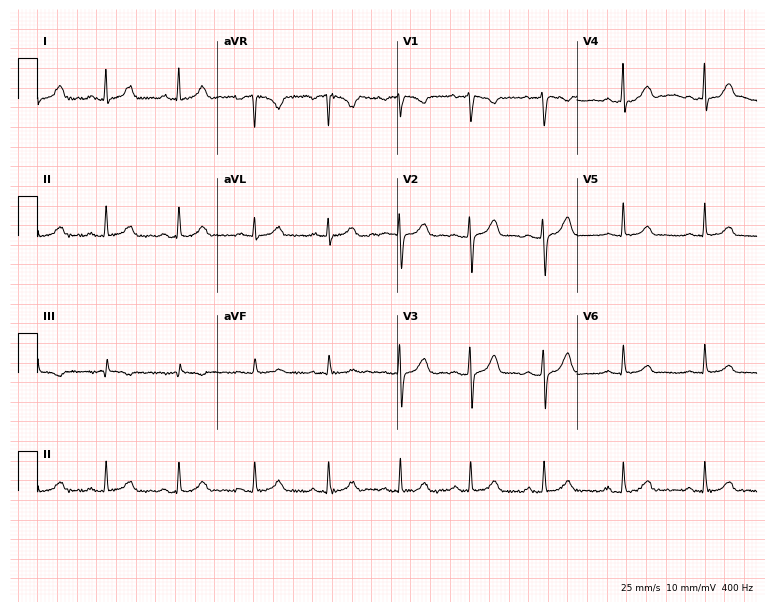
12-lead ECG (7.3-second recording at 400 Hz) from a 49-year-old woman. Labelled as a normal ECG.